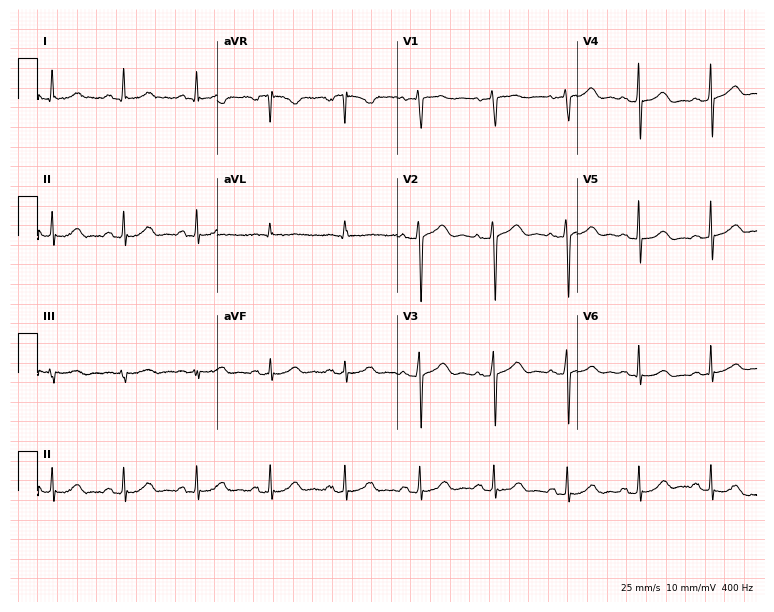
Standard 12-lead ECG recorded from a female patient, 52 years old. Read as a normal ECG.